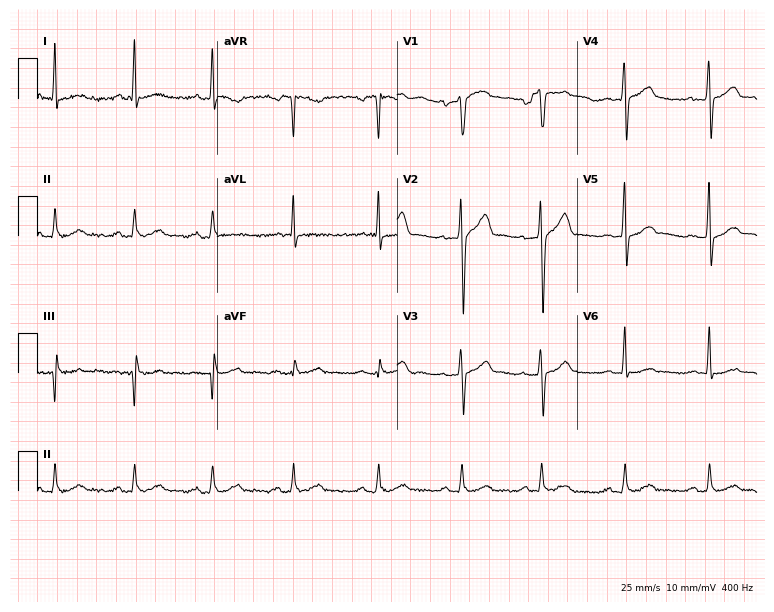
Standard 12-lead ECG recorded from a 42-year-old male. Read as a normal ECG.